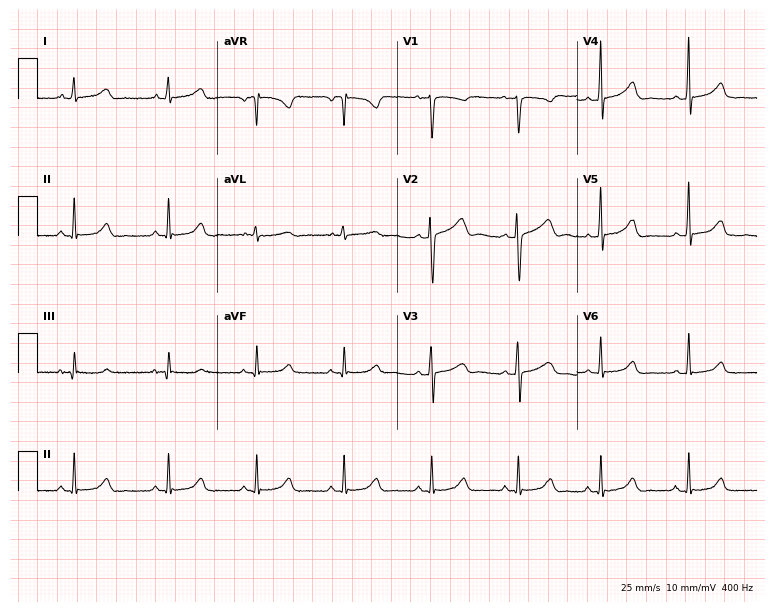
Standard 12-lead ECG recorded from a 24-year-old female patient (7.3-second recording at 400 Hz). None of these six findings is recorded: first-degree AV block, right bundle branch block, left bundle branch block, sinus bradycardia, atrial fibrillation, sinus tachycardia.